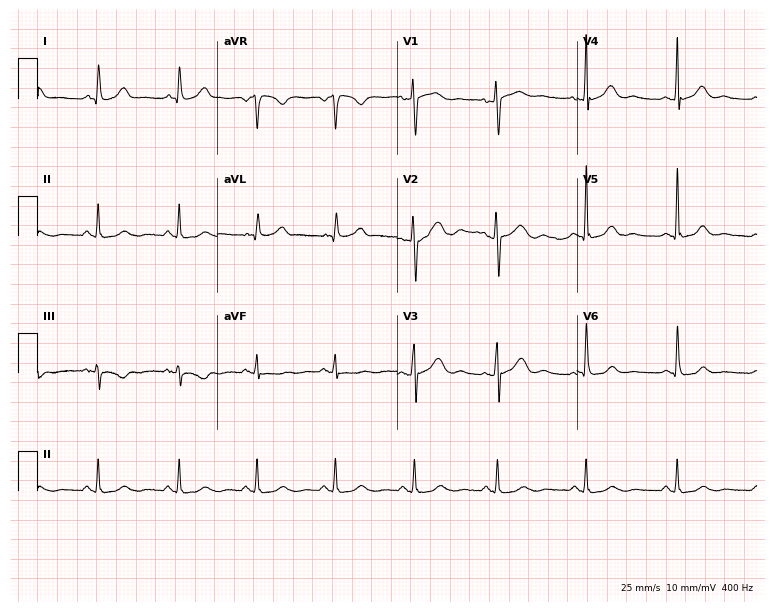
Electrocardiogram (7.3-second recording at 400 Hz), a woman, 55 years old. Overall reading on record: normal ECG.